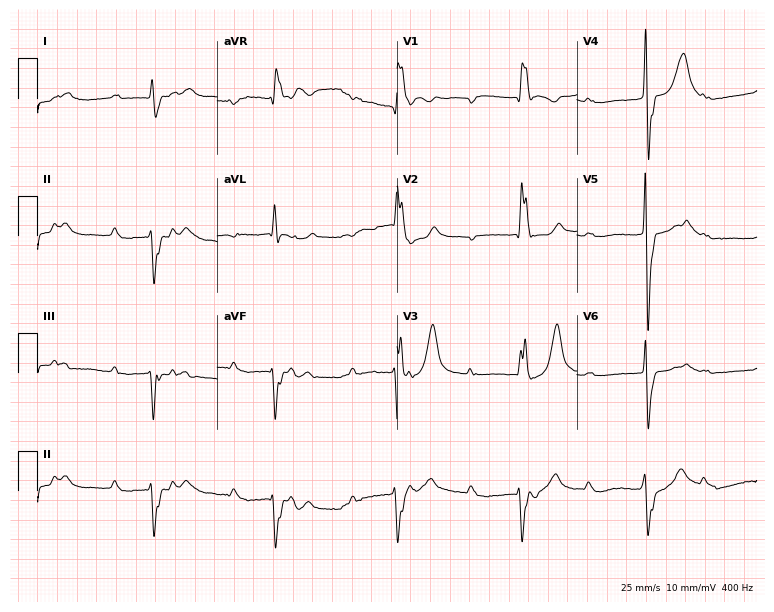
12-lead ECG from an 82-year-old male patient. Shows right bundle branch block.